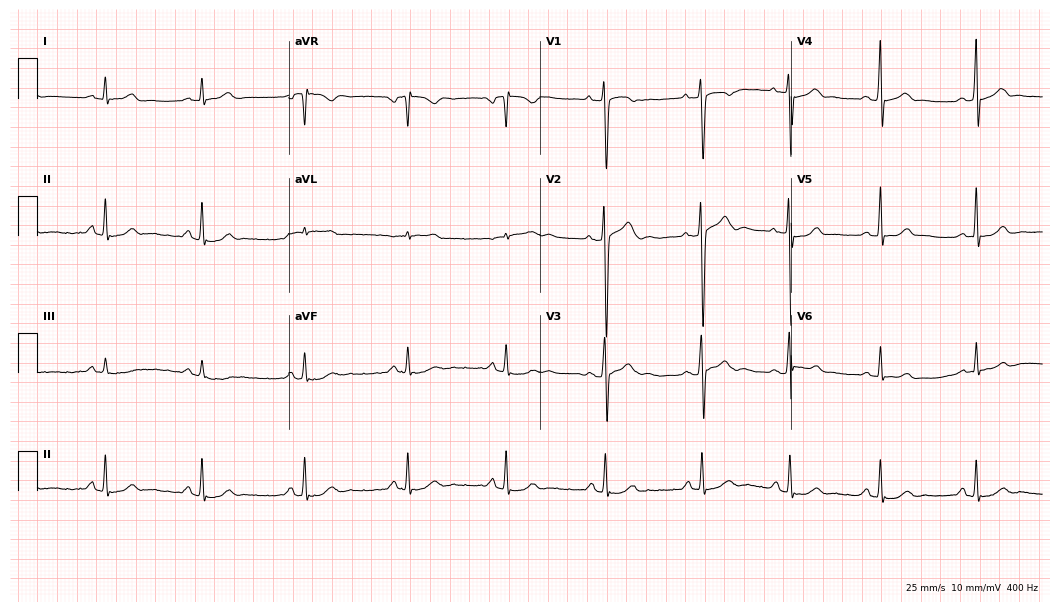
12-lead ECG (10.2-second recording at 400 Hz) from a man, 20 years old. Labelled as a normal ECG.